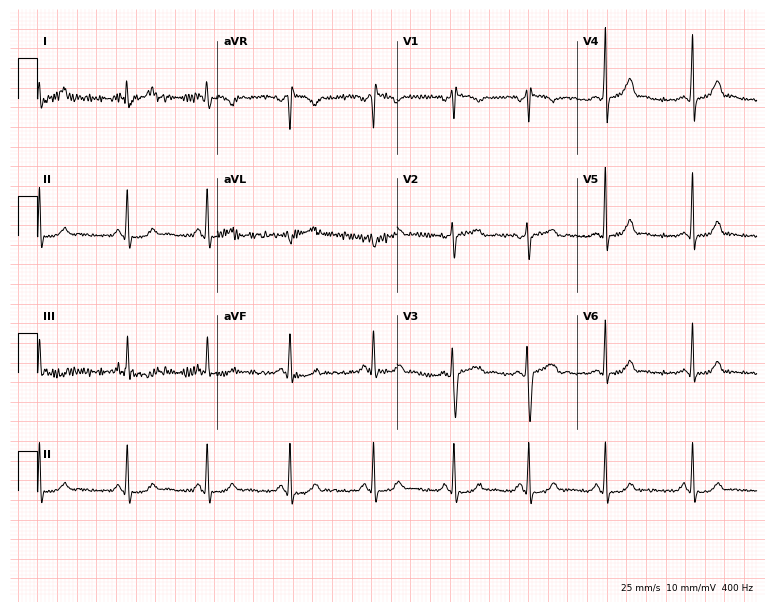
Resting 12-lead electrocardiogram. Patient: a 27-year-old female. Read as a normal ECG.